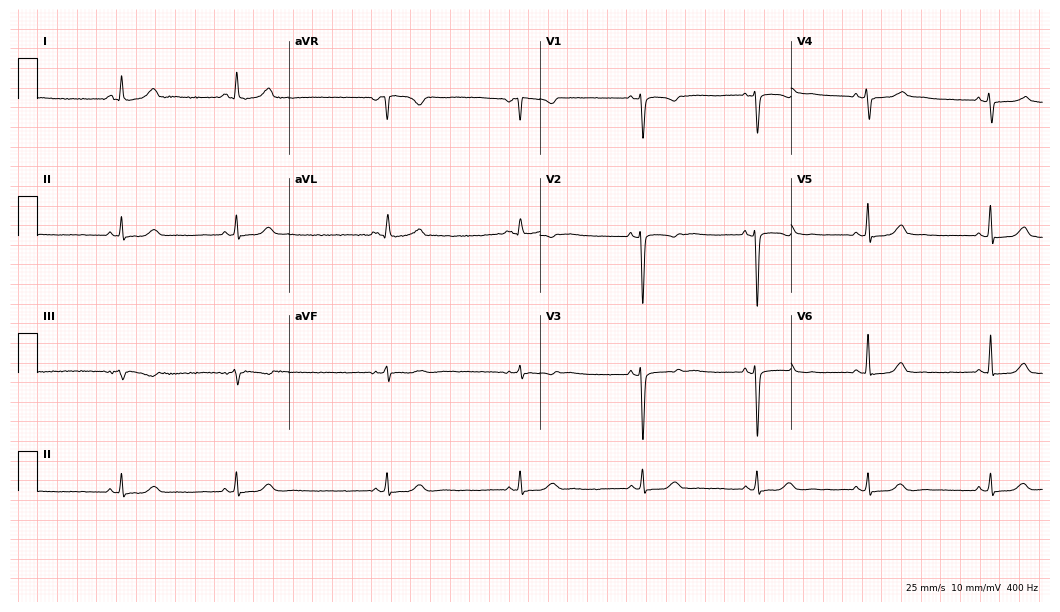
12-lead ECG from a 44-year-old female patient (10.2-second recording at 400 Hz). No first-degree AV block, right bundle branch block (RBBB), left bundle branch block (LBBB), sinus bradycardia, atrial fibrillation (AF) or sinus tachycardia recorded for this tracing. Other findings, if any, are not listed.